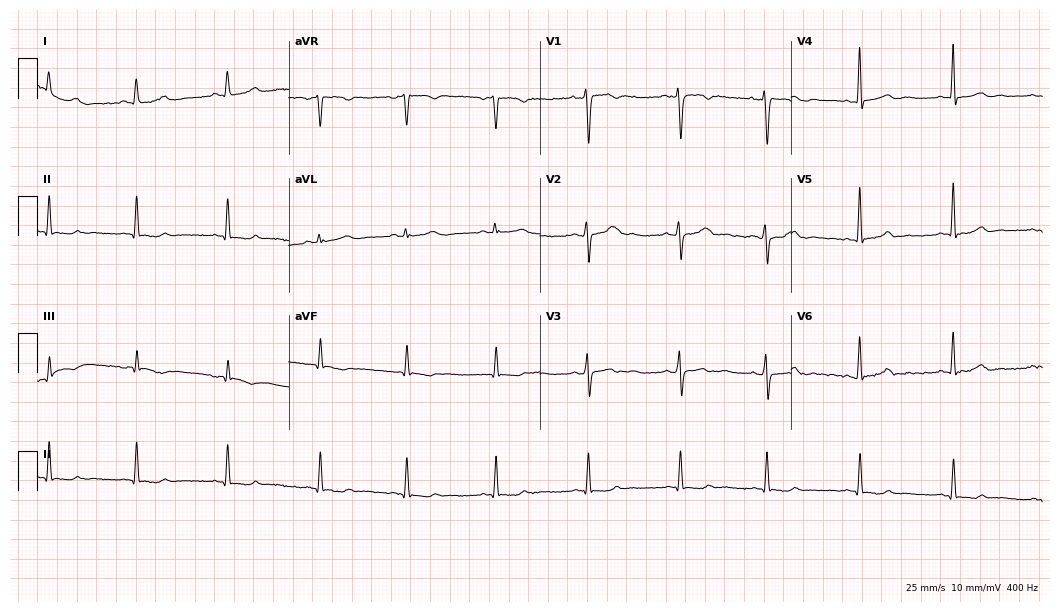
Electrocardiogram, a 27-year-old female. Overall reading on record: normal ECG.